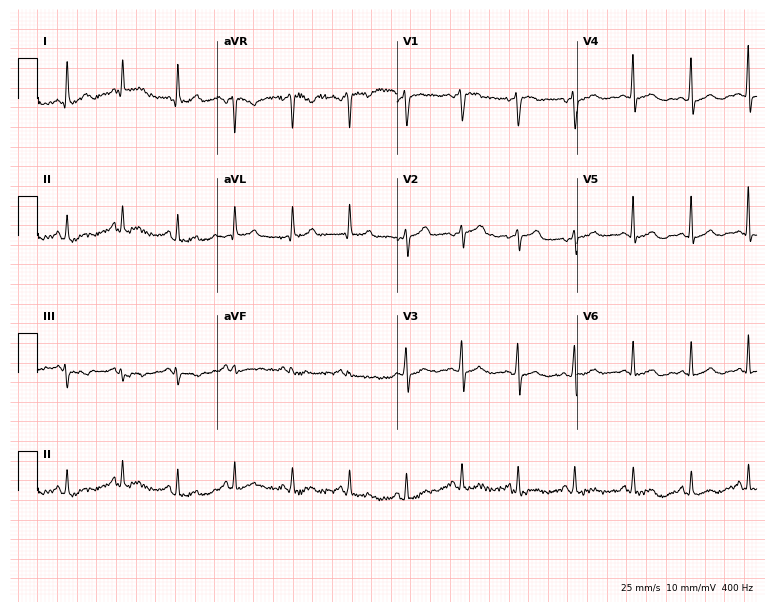
ECG — a woman, 44 years old. Findings include sinus tachycardia (a sinus rate of 100 beats per minute or more).